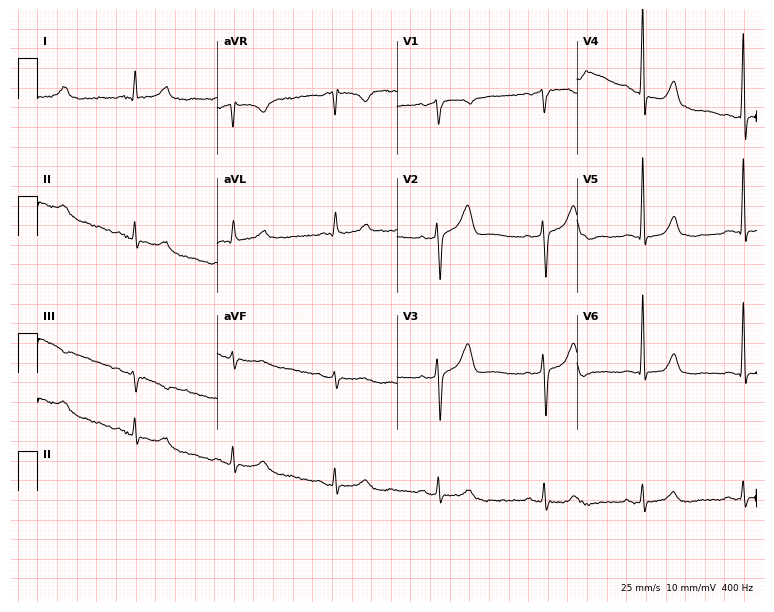
Standard 12-lead ECG recorded from a man, 77 years old (7.3-second recording at 400 Hz). None of these six findings is recorded: first-degree AV block, right bundle branch block (RBBB), left bundle branch block (LBBB), sinus bradycardia, atrial fibrillation (AF), sinus tachycardia.